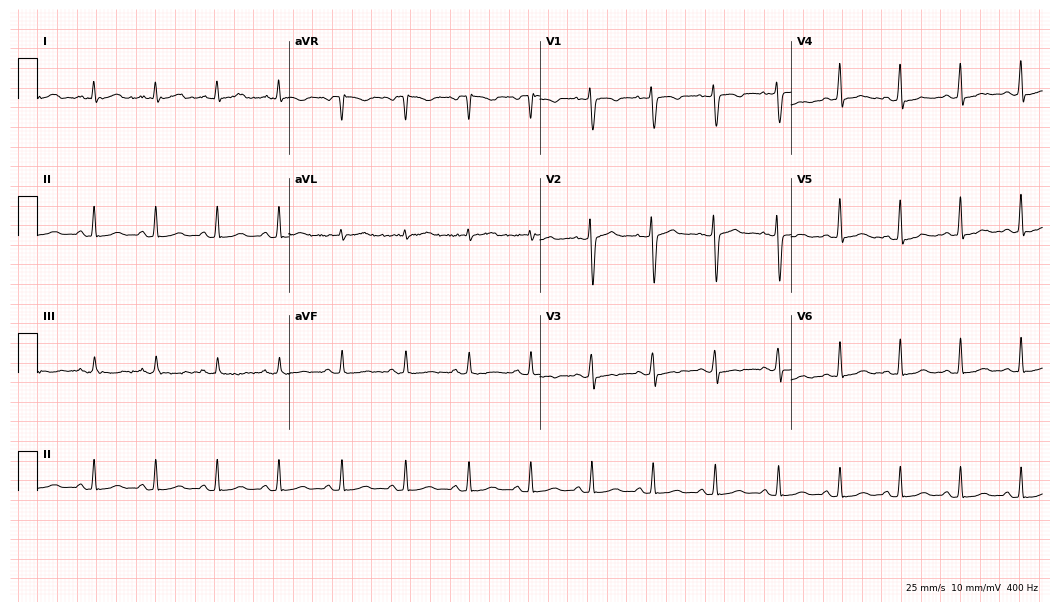
Resting 12-lead electrocardiogram. Patient: a female, 27 years old. None of these six findings is recorded: first-degree AV block, right bundle branch block, left bundle branch block, sinus bradycardia, atrial fibrillation, sinus tachycardia. Other findings, if any, are not listed.